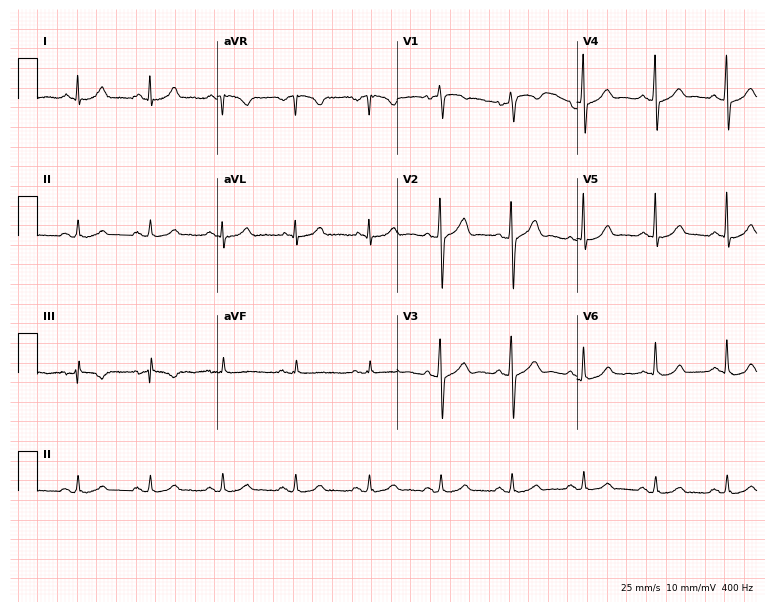
12-lead ECG from a 50-year-old male (7.3-second recording at 400 Hz). Recorded interpretation: within normal limits.